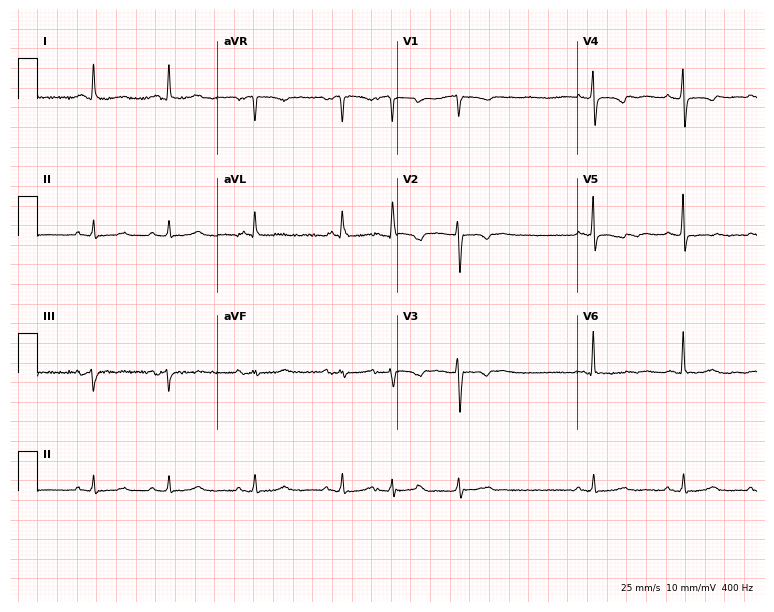
ECG — a woman, 54 years old. Screened for six findings — first-degree AV block, right bundle branch block (RBBB), left bundle branch block (LBBB), sinus bradycardia, atrial fibrillation (AF), sinus tachycardia — none is recorded.